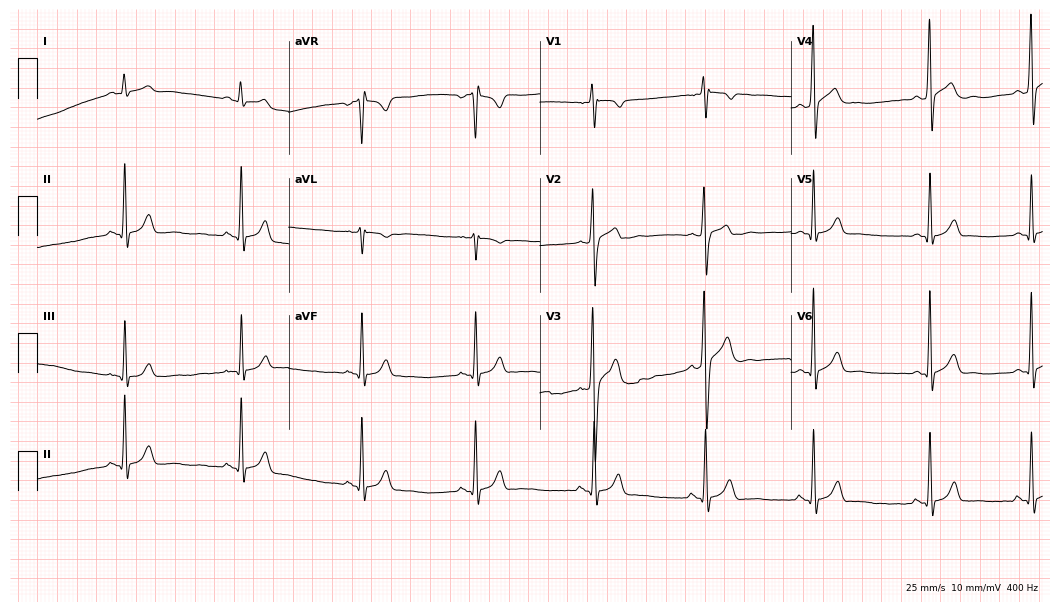
12-lead ECG (10.2-second recording at 400 Hz) from an 18-year-old man. Screened for six findings — first-degree AV block, right bundle branch block, left bundle branch block, sinus bradycardia, atrial fibrillation, sinus tachycardia — none is recorded.